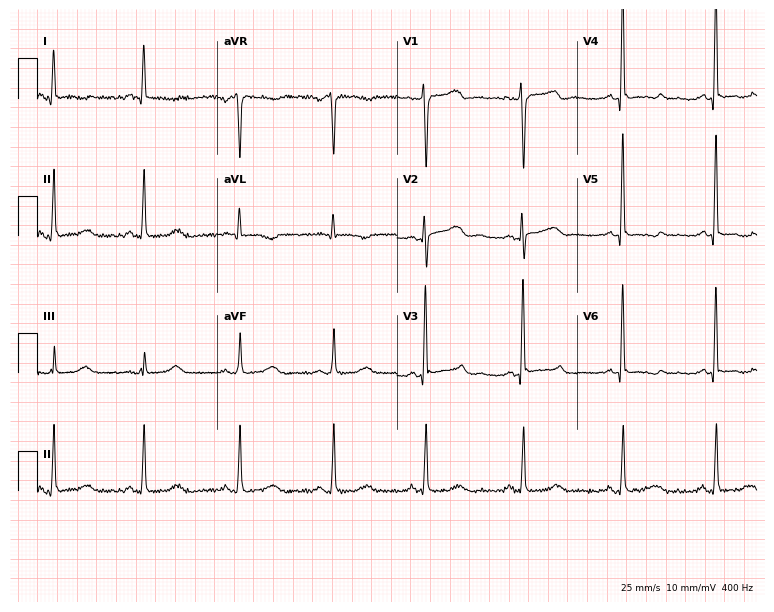
Resting 12-lead electrocardiogram (7.3-second recording at 400 Hz). Patient: a female, 40 years old. None of these six findings is recorded: first-degree AV block, right bundle branch block, left bundle branch block, sinus bradycardia, atrial fibrillation, sinus tachycardia.